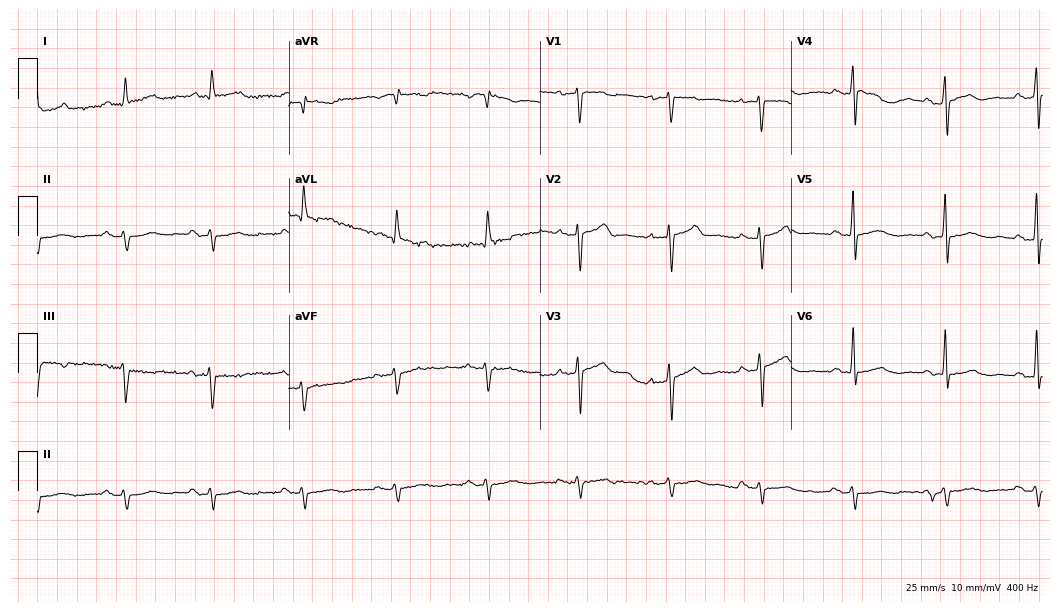
ECG (10.2-second recording at 400 Hz) — a 72-year-old male patient. Screened for six findings — first-degree AV block, right bundle branch block, left bundle branch block, sinus bradycardia, atrial fibrillation, sinus tachycardia — none is recorded.